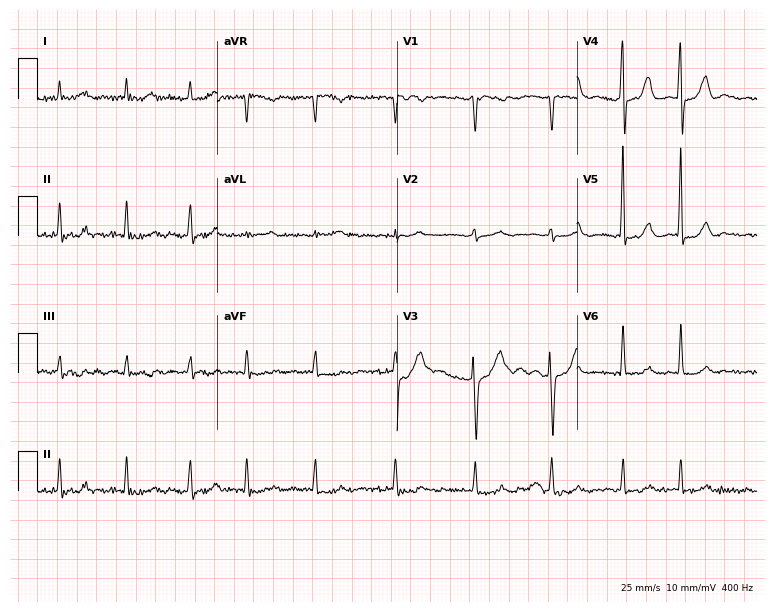
ECG — a male, 77 years old. Findings include atrial fibrillation (AF).